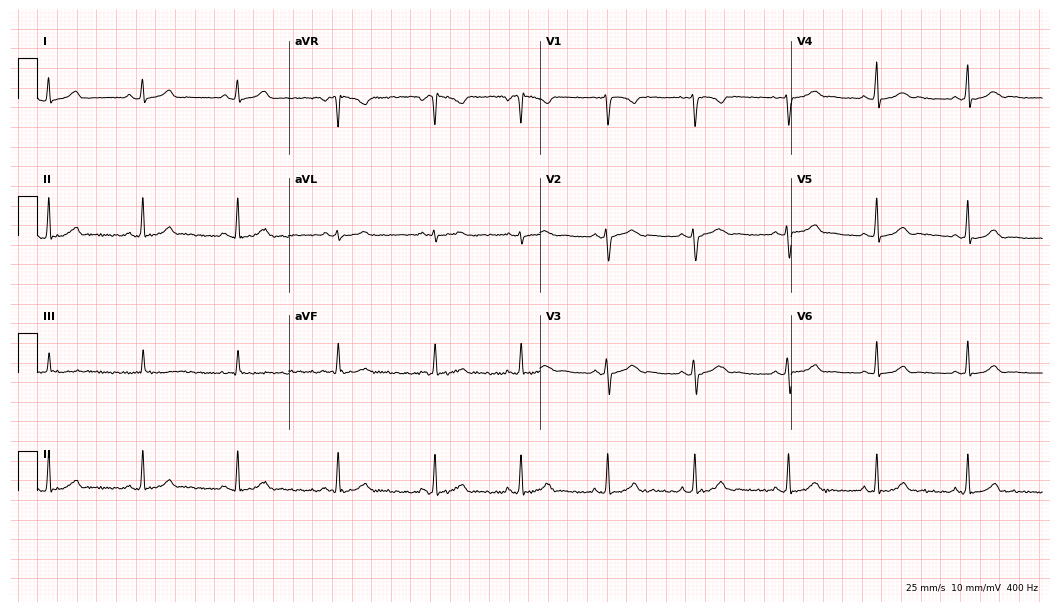
12-lead ECG from a female patient, 17 years old. Screened for six findings — first-degree AV block, right bundle branch block, left bundle branch block, sinus bradycardia, atrial fibrillation, sinus tachycardia — none is recorded.